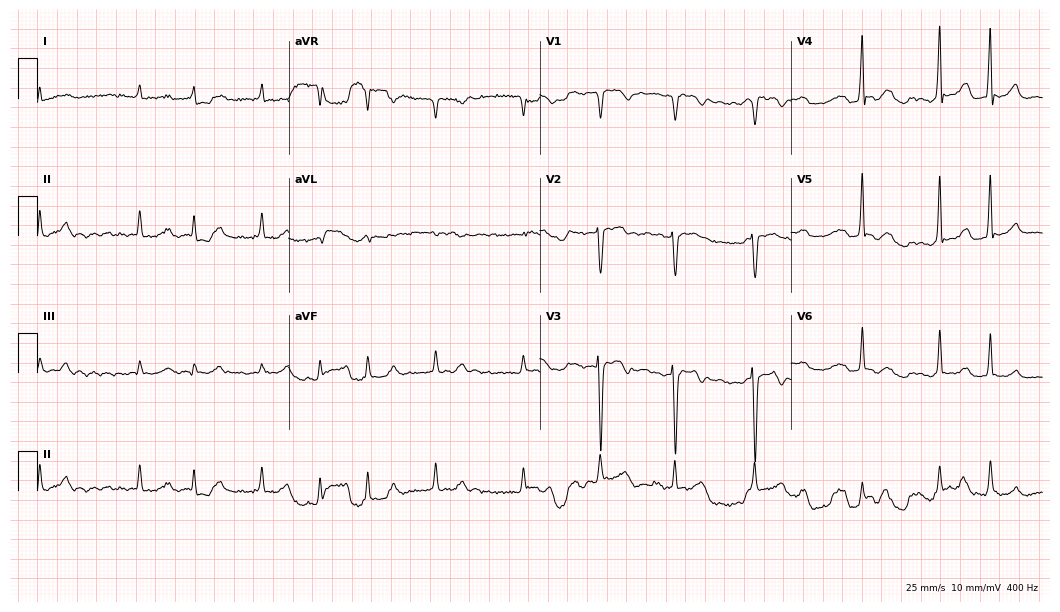
Electrocardiogram (10.2-second recording at 400 Hz), a 44-year-old man. Interpretation includes atrial fibrillation.